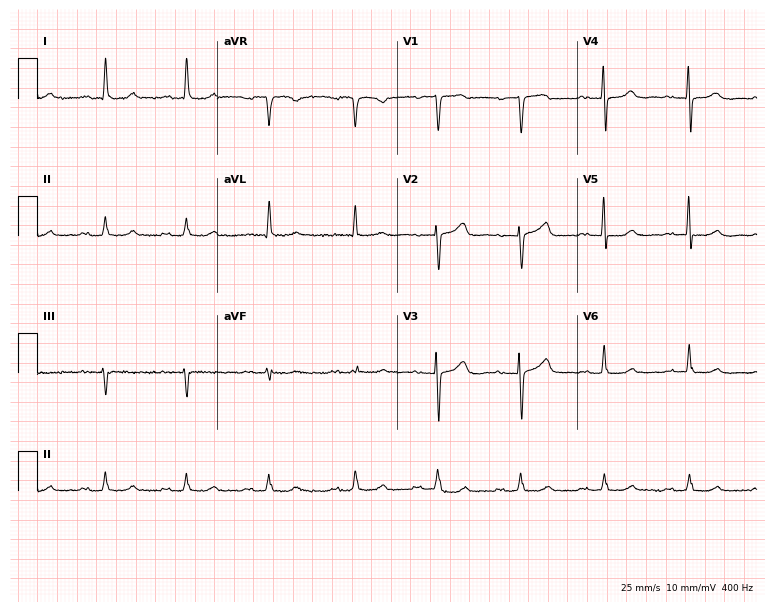
ECG — a female, 78 years old. Screened for six findings — first-degree AV block, right bundle branch block (RBBB), left bundle branch block (LBBB), sinus bradycardia, atrial fibrillation (AF), sinus tachycardia — none is recorded. Other findings, if any, are not listed.